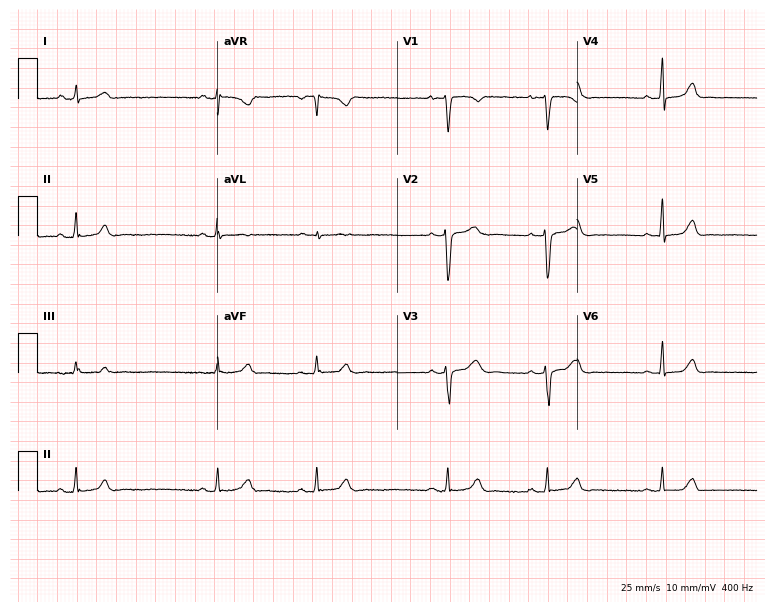
Resting 12-lead electrocardiogram. Patient: a 31-year-old male. None of these six findings is recorded: first-degree AV block, right bundle branch block, left bundle branch block, sinus bradycardia, atrial fibrillation, sinus tachycardia. Other findings, if any, are not listed.